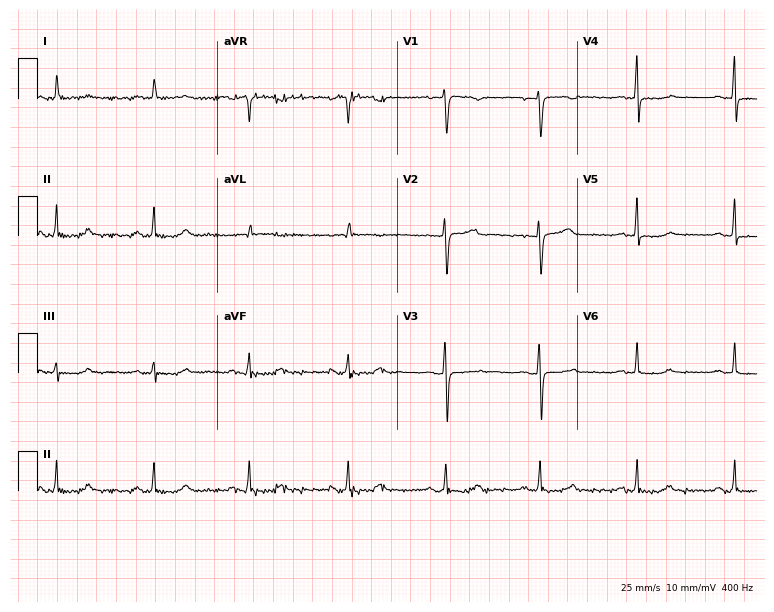
Electrocardiogram (7.3-second recording at 400 Hz), a woman, 58 years old. Overall reading on record: normal ECG.